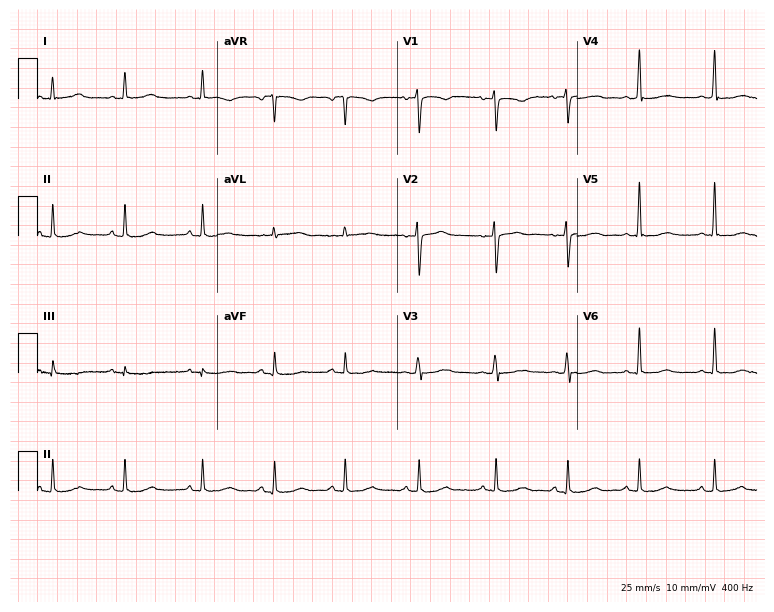
Standard 12-lead ECG recorded from a female patient, 43 years old (7.3-second recording at 400 Hz). None of these six findings is recorded: first-degree AV block, right bundle branch block (RBBB), left bundle branch block (LBBB), sinus bradycardia, atrial fibrillation (AF), sinus tachycardia. Other findings, if any, are not listed.